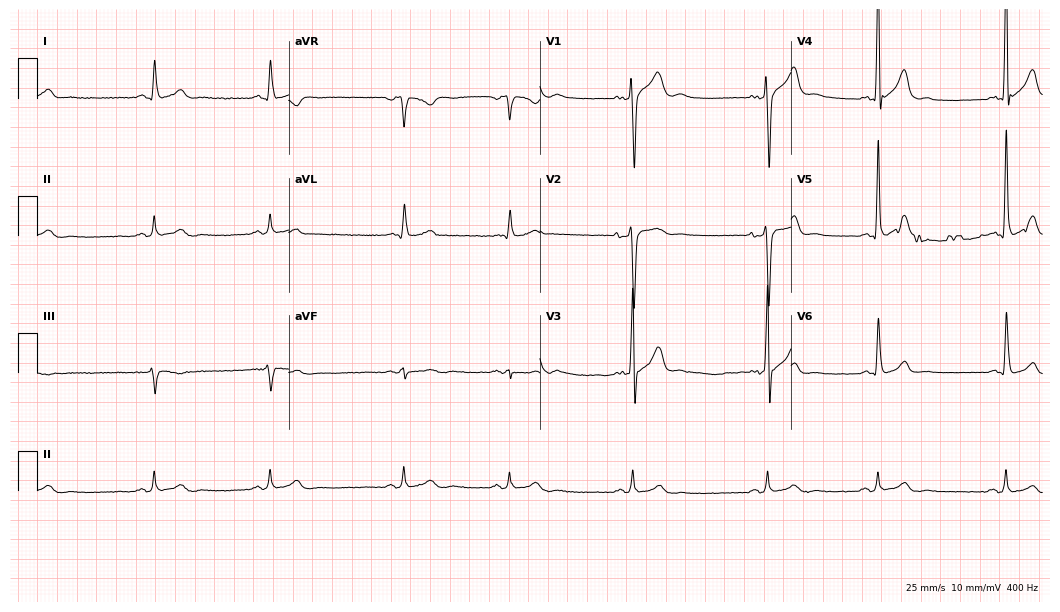
Standard 12-lead ECG recorded from a male, 28 years old. None of these six findings is recorded: first-degree AV block, right bundle branch block (RBBB), left bundle branch block (LBBB), sinus bradycardia, atrial fibrillation (AF), sinus tachycardia. Findings outside these six are not listed.